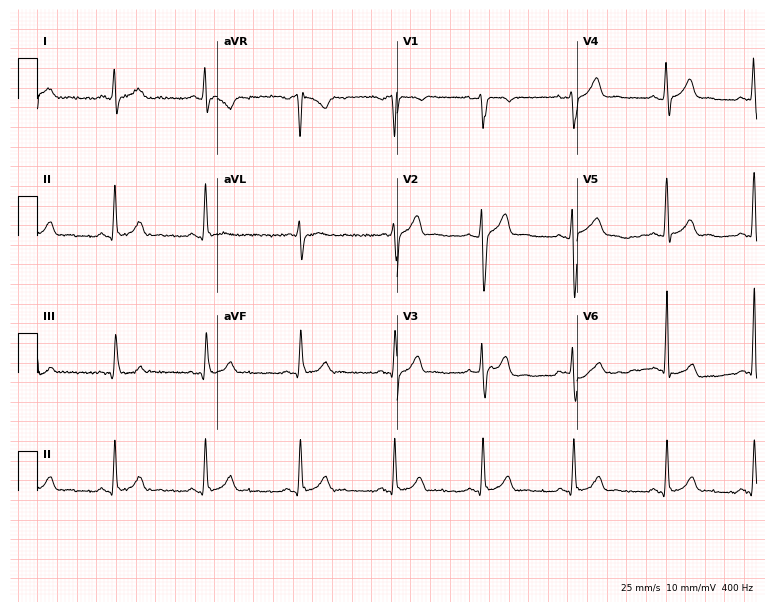
12-lead ECG from a man, 21 years old. No first-degree AV block, right bundle branch block (RBBB), left bundle branch block (LBBB), sinus bradycardia, atrial fibrillation (AF) or sinus tachycardia recorded for this tracing.